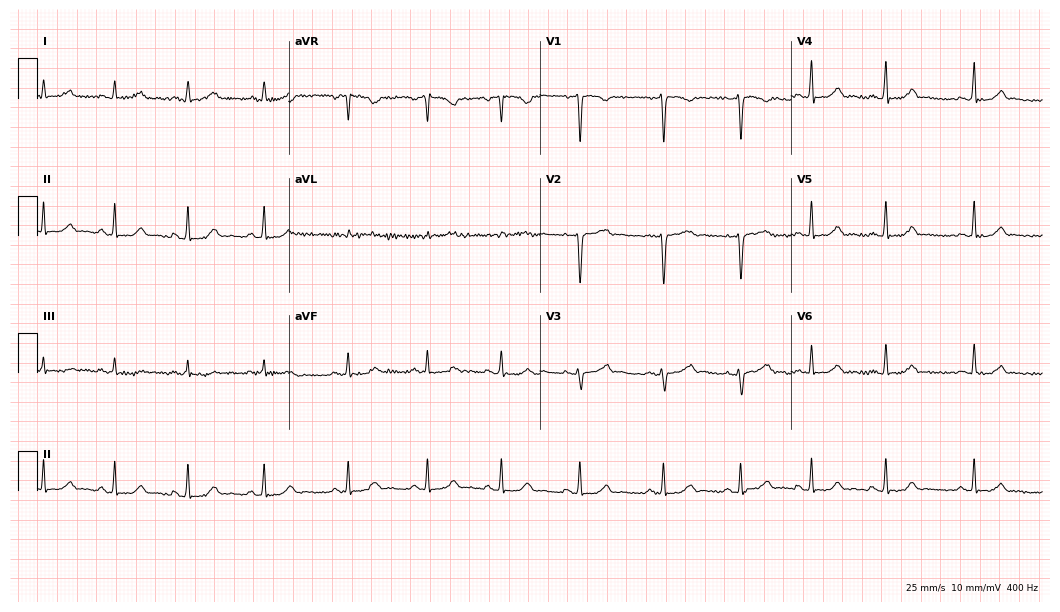
12-lead ECG from a 38-year-old female patient. Labelled as a normal ECG.